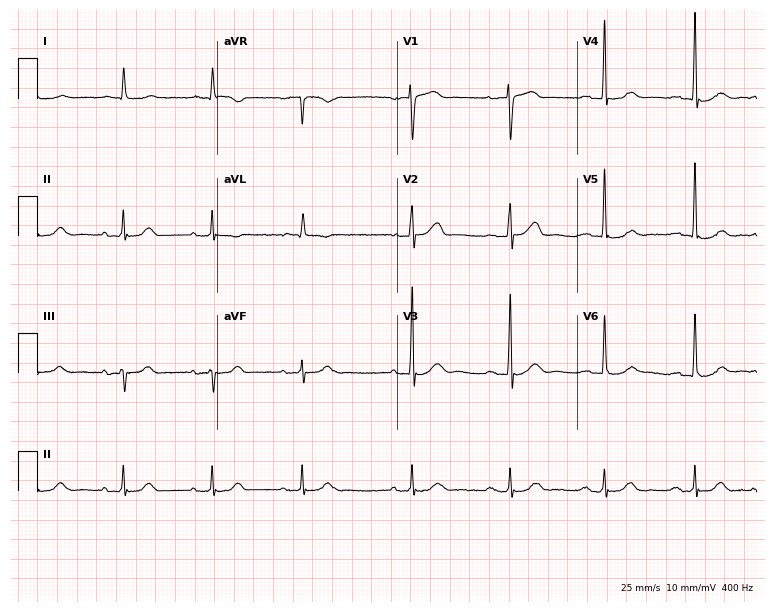
Standard 12-lead ECG recorded from a female patient, 80 years old. Read as a normal ECG.